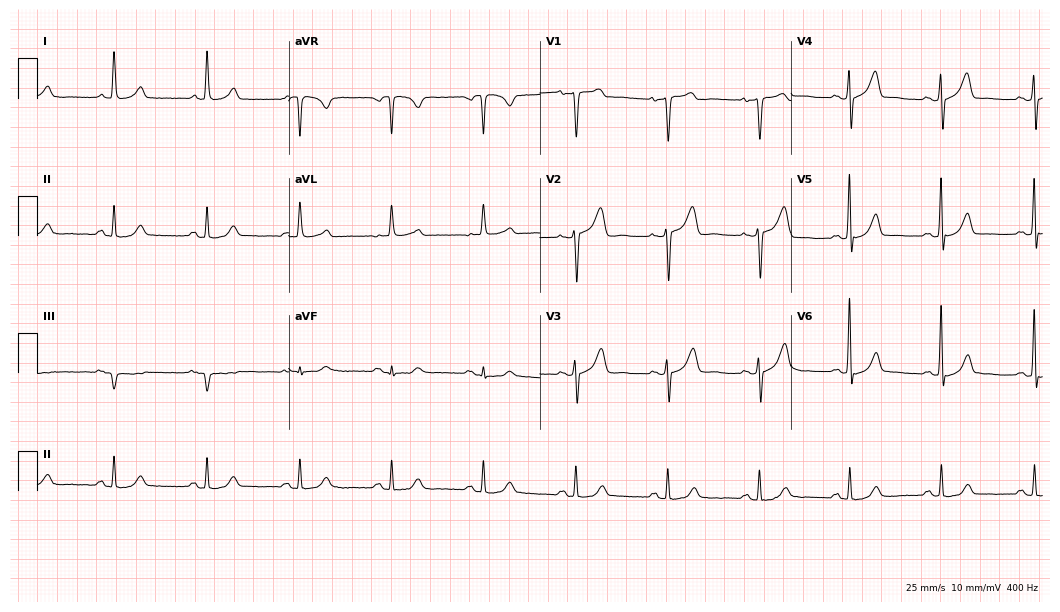
ECG — a female, 78 years old. Labelled as a normal ECG.